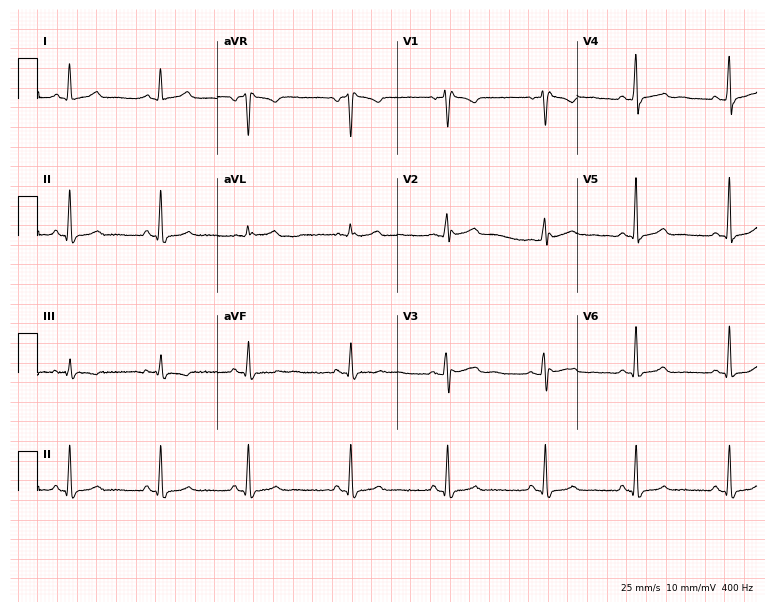
12-lead ECG from a female patient, 34 years old (7.3-second recording at 400 Hz). No first-degree AV block, right bundle branch block, left bundle branch block, sinus bradycardia, atrial fibrillation or sinus tachycardia recorded for this tracing.